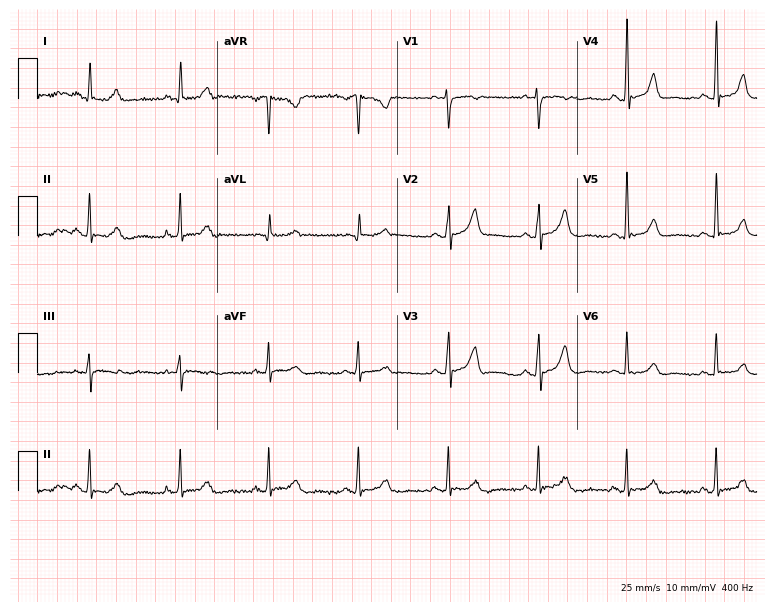
Standard 12-lead ECG recorded from a 59-year-old woman (7.3-second recording at 400 Hz). None of these six findings is recorded: first-degree AV block, right bundle branch block (RBBB), left bundle branch block (LBBB), sinus bradycardia, atrial fibrillation (AF), sinus tachycardia. Only these six findings were labelled.